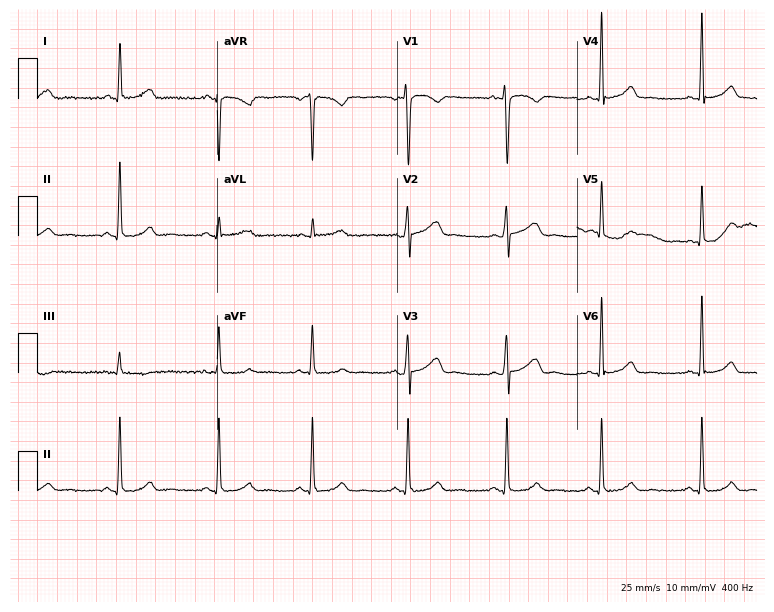
12-lead ECG from a 29-year-old woman. No first-degree AV block, right bundle branch block (RBBB), left bundle branch block (LBBB), sinus bradycardia, atrial fibrillation (AF) or sinus tachycardia recorded for this tracing. Other findings, if any, are not listed.